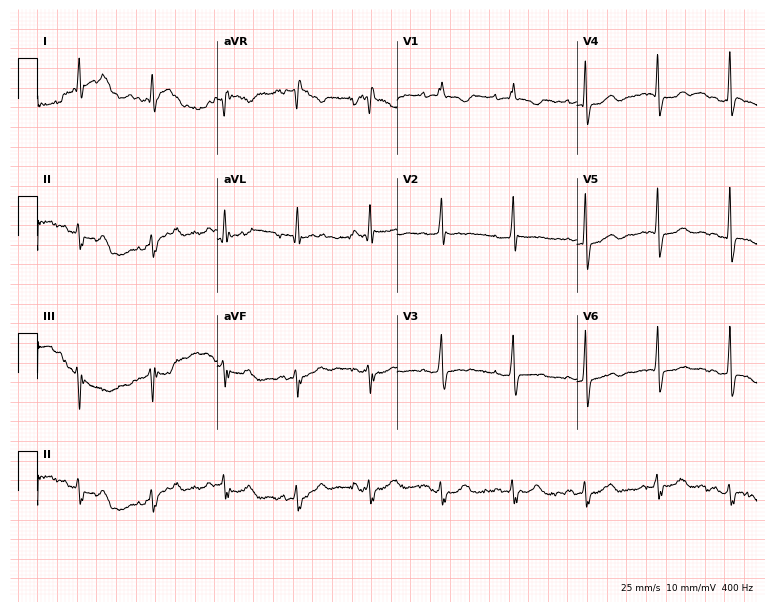
Standard 12-lead ECG recorded from a woman, 56 years old (7.3-second recording at 400 Hz). None of these six findings is recorded: first-degree AV block, right bundle branch block (RBBB), left bundle branch block (LBBB), sinus bradycardia, atrial fibrillation (AF), sinus tachycardia.